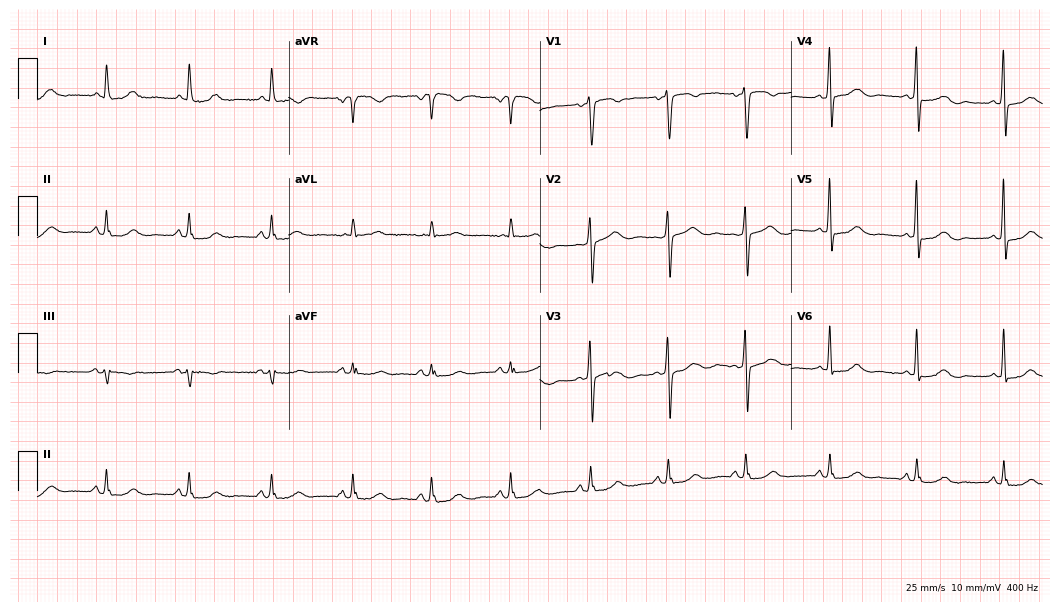
Standard 12-lead ECG recorded from a 73-year-old female. Read as a normal ECG.